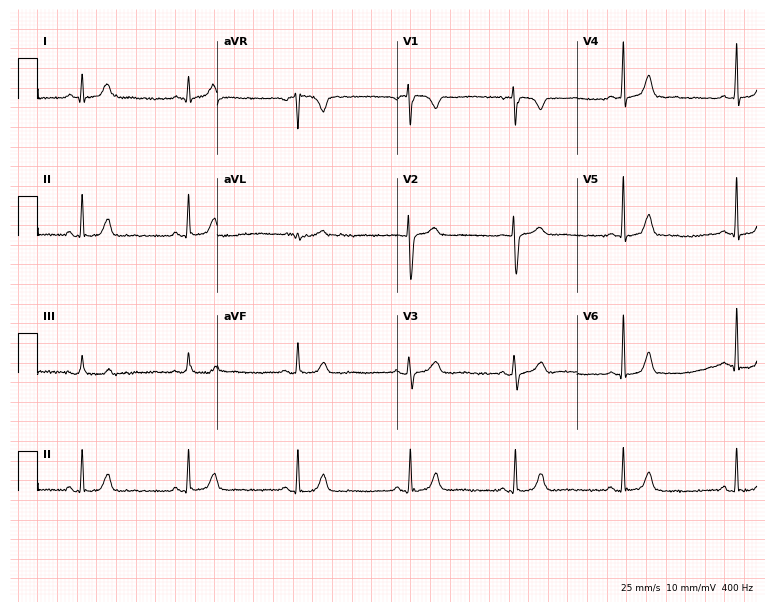
ECG — a female, 35 years old. Screened for six findings — first-degree AV block, right bundle branch block, left bundle branch block, sinus bradycardia, atrial fibrillation, sinus tachycardia — none is recorded. Only these six findings were labelled.